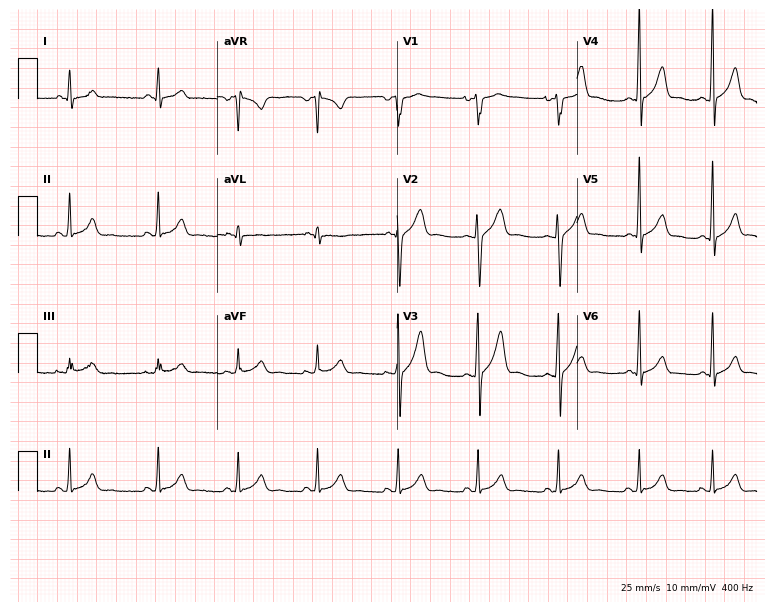
Resting 12-lead electrocardiogram (7.3-second recording at 400 Hz). Patient: a 17-year-old man. Read as a normal ECG.